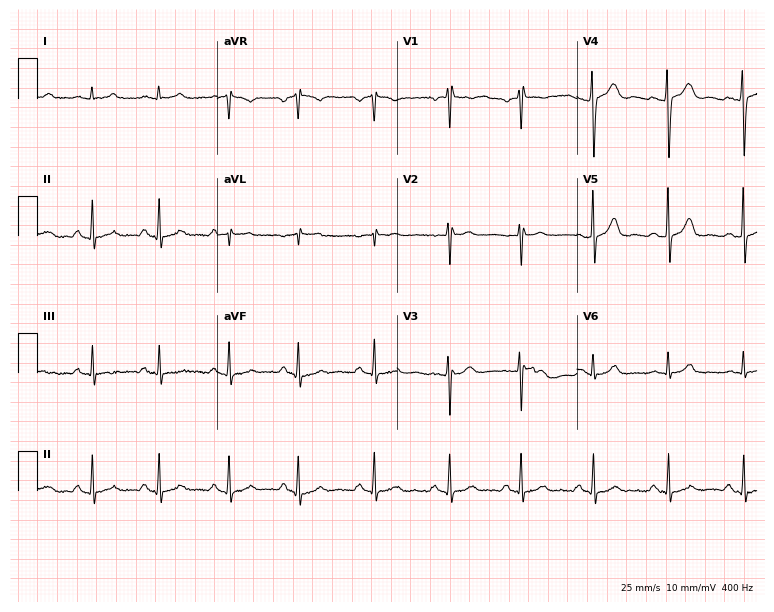
12-lead ECG from a 26-year-old woman (7.3-second recording at 400 Hz). No first-degree AV block, right bundle branch block (RBBB), left bundle branch block (LBBB), sinus bradycardia, atrial fibrillation (AF) or sinus tachycardia recorded for this tracing. Findings outside these six are not listed.